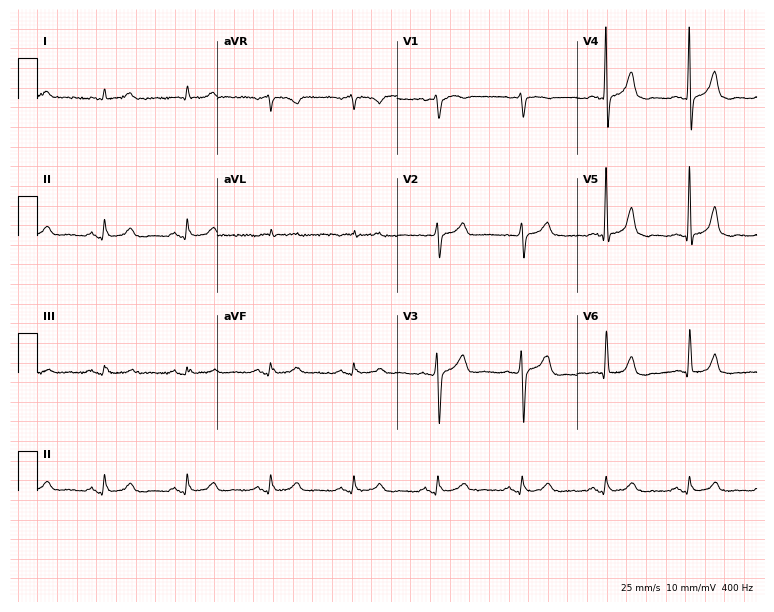
Resting 12-lead electrocardiogram (7.3-second recording at 400 Hz). Patient: a male, 81 years old. Read as a normal ECG.